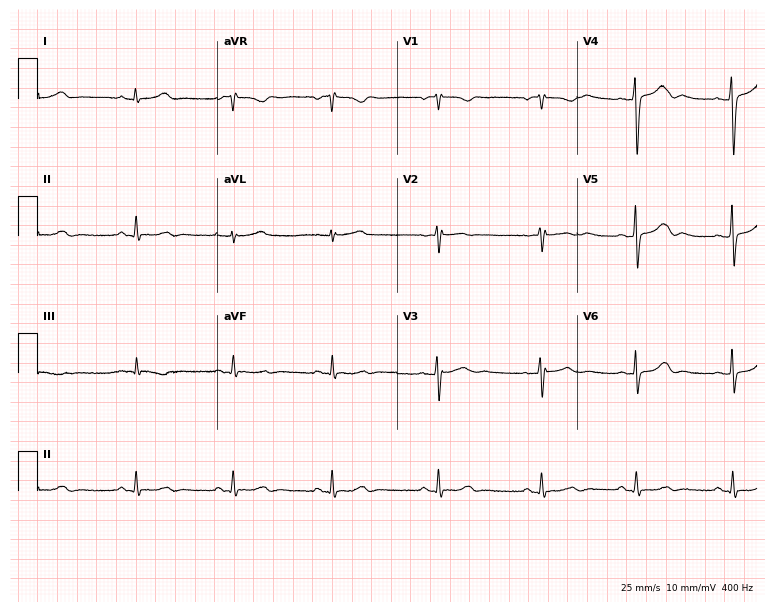
ECG — a 27-year-old female. Labelled as a normal ECG.